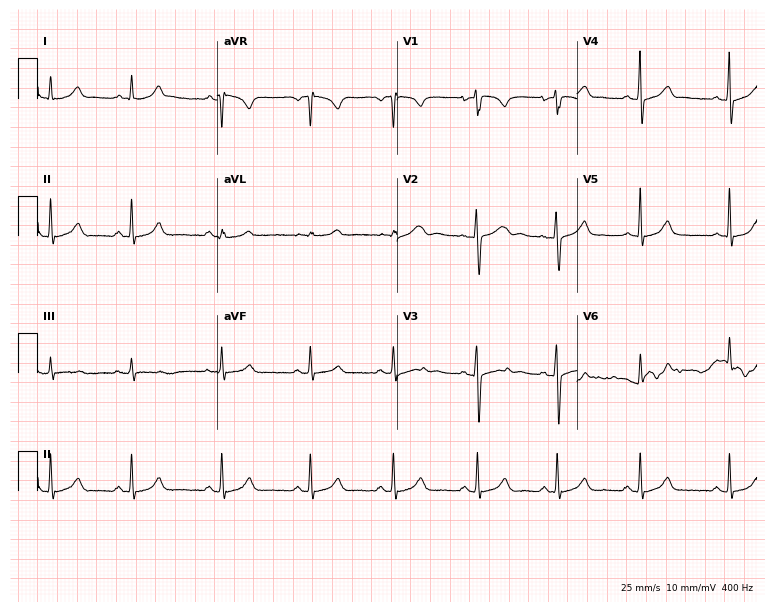
12-lead ECG from a 19-year-old female patient. Screened for six findings — first-degree AV block, right bundle branch block, left bundle branch block, sinus bradycardia, atrial fibrillation, sinus tachycardia — none is recorded.